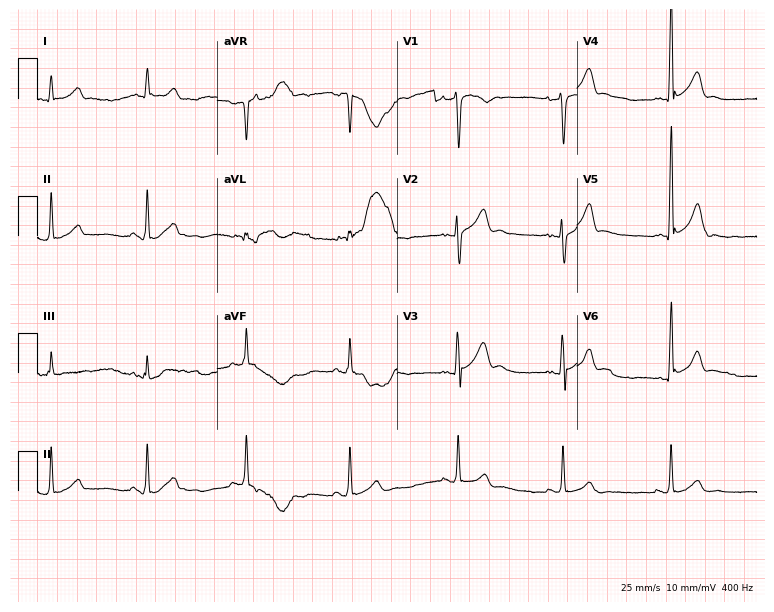
Standard 12-lead ECG recorded from a 31-year-old man. None of these six findings is recorded: first-degree AV block, right bundle branch block (RBBB), left bundle branch block (LBBB), sinus bradycardia, atrial fibrillation (AF), sinus tachycardia.